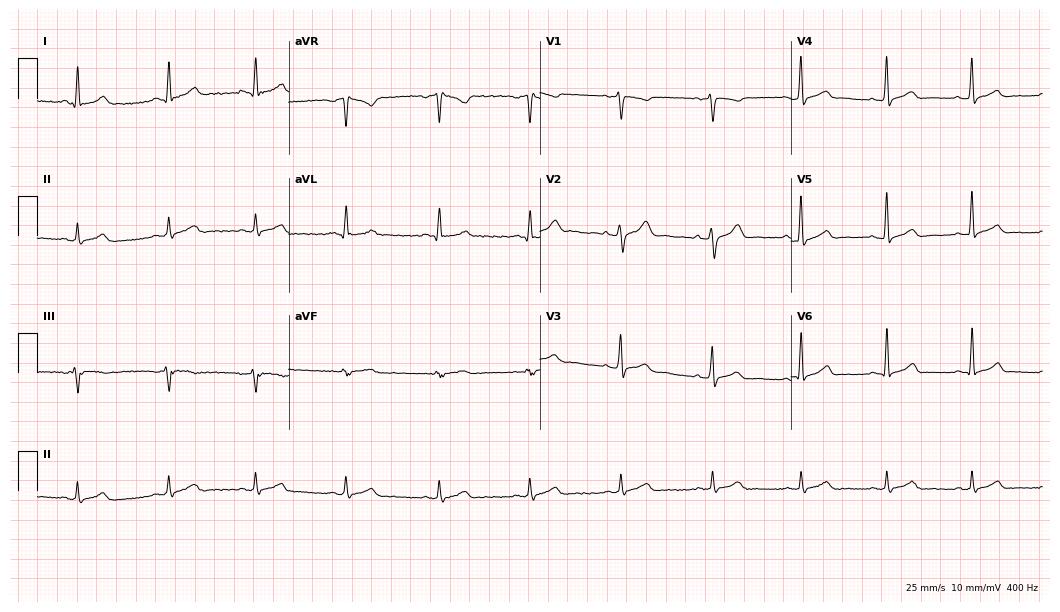
Standard 12-lead ECG recorded from a man, 27 years old (10.2-second recording at 400 Hz). Read as a normal ECG.